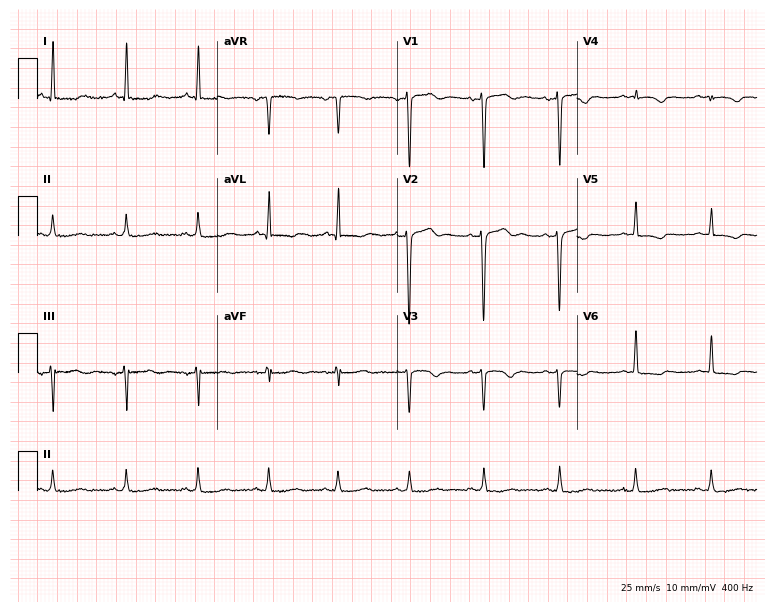
Electrocardiogram, a 74-year-old female patient. Of the six screened findings (first-degree AV block, right bundle branch block, left bundle branch block, sinus bradycardia, atrial fibrillation, sinus tachycardia), none is recorded. Only these six findings were labelled.